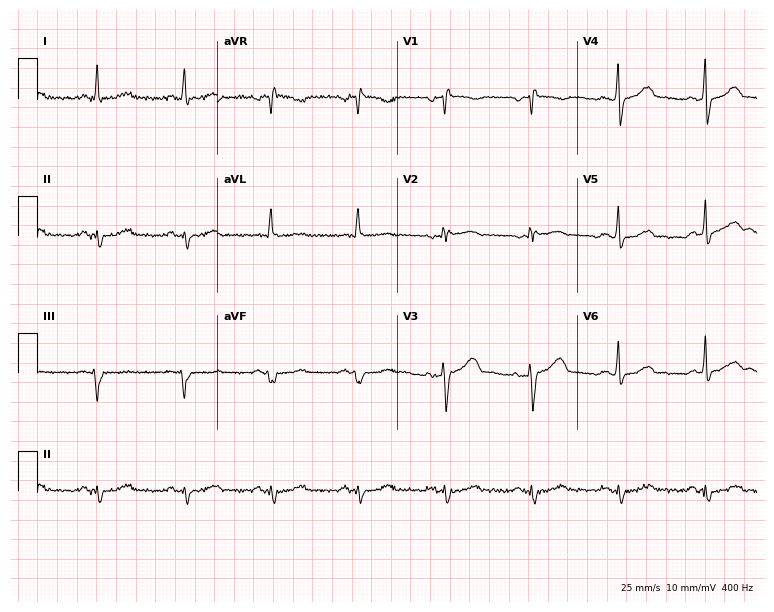
12-lead ECG from a 73-year-old male. No first-degree AV block, right bundle branch block, left bundle branch block, sinus bradycardia, atrial fibrillation or sinus tachycardia recorded for this tracing.